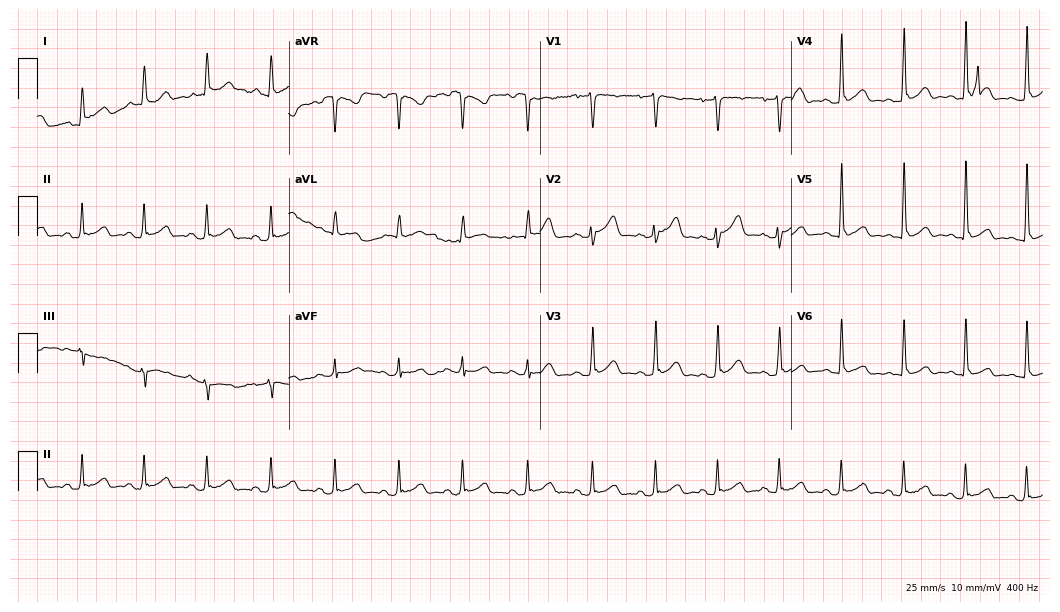
Standard 12-lead ECG recorded from a 30-year-old male patient (10.2-second recording at 400 Hz). None of these six findings is recorded: first-degree AV block, right bundle branch block, left bundle branch block, sinus bradycardia, atrial fibrillation, sinus tachycardia.